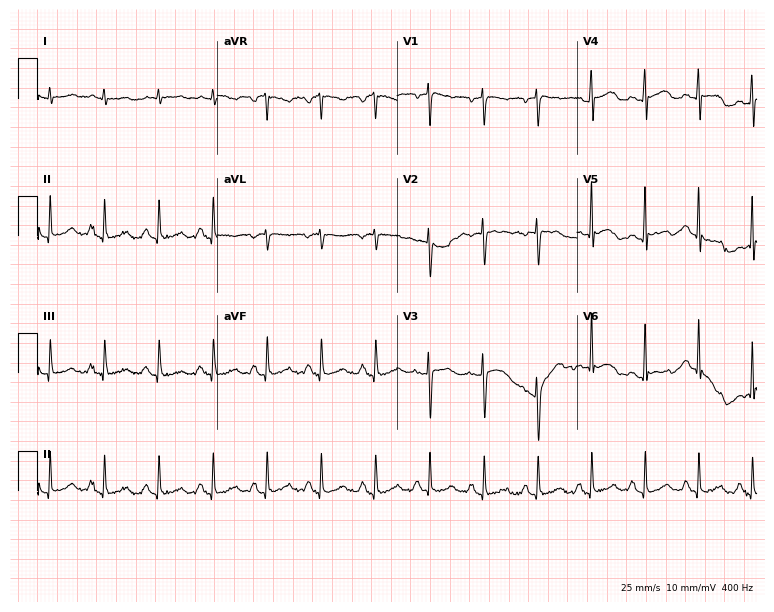
Standard 12-lead ECG recorded from a female, 58 years old (7.3-second recording at 400 Hz). The tracing shows sinus tachycardia (a sinus rate of 100 beats per minute or more).